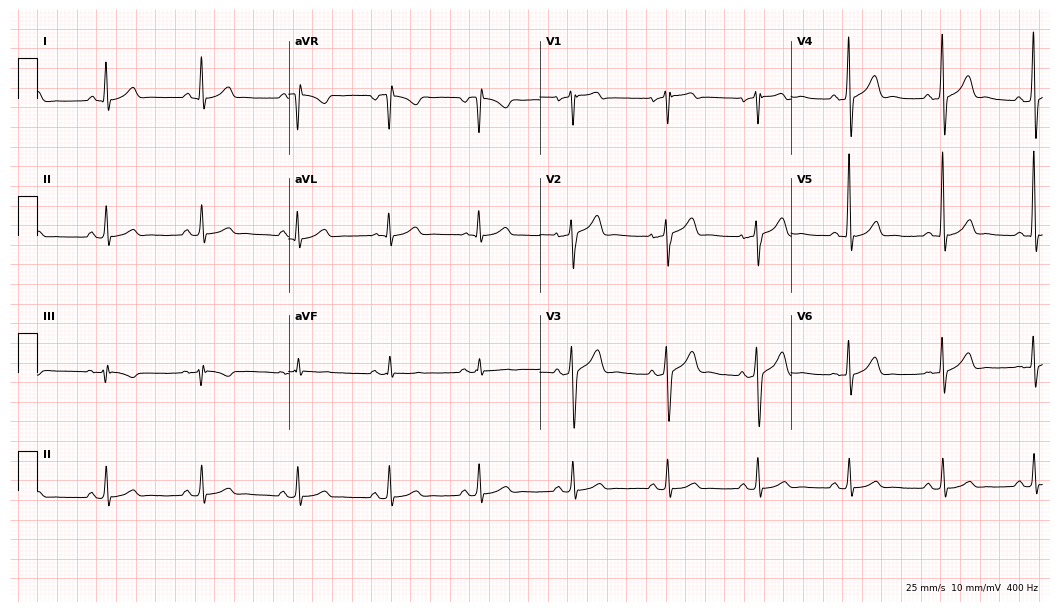
12-lead ECG from a man, 57 years old. Recorded interpretation: within normal limits.